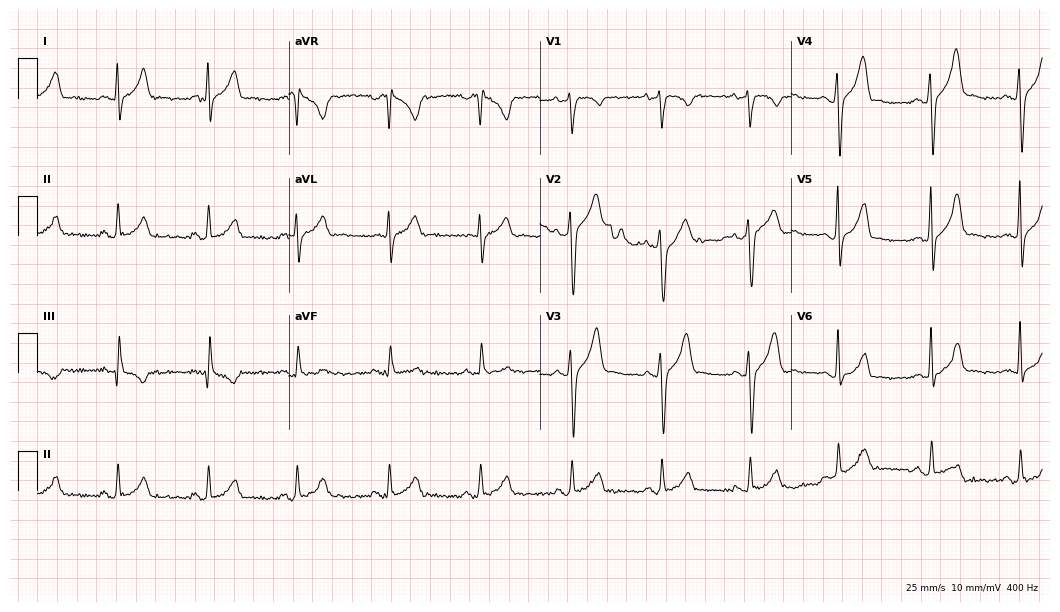
Resting 12-lead electrocardiogram. Patient: a 41-year-old male. Read as a normal ECG.